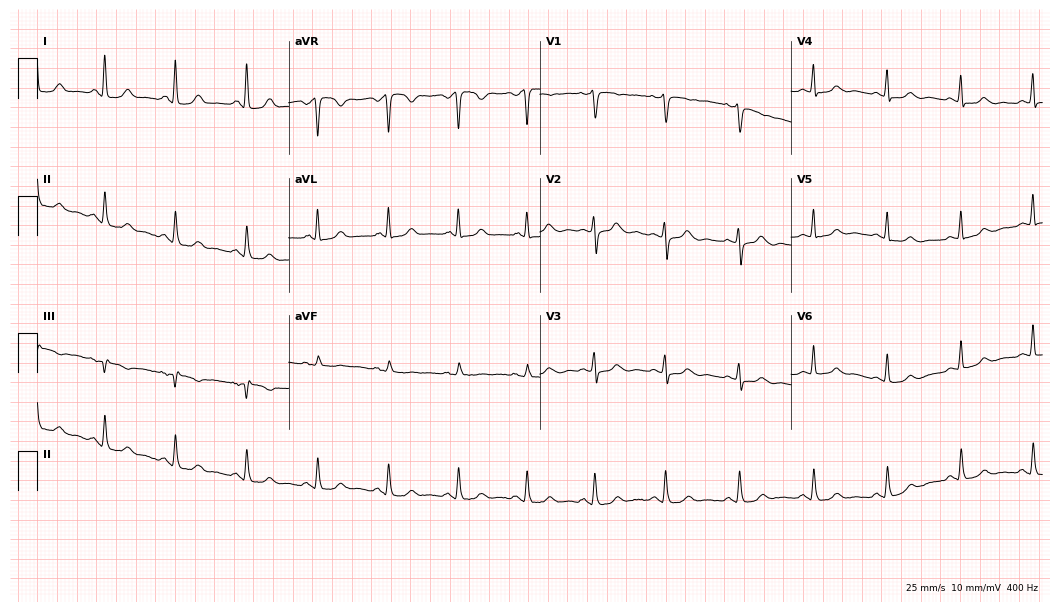
12-lead ECG from a female, 48 years old. No first-degree AV block, right bundle branch block, left bundle branch block, sinus bradycardia, atrial fibrillation or sinus tachycardia recorded for this tracing.